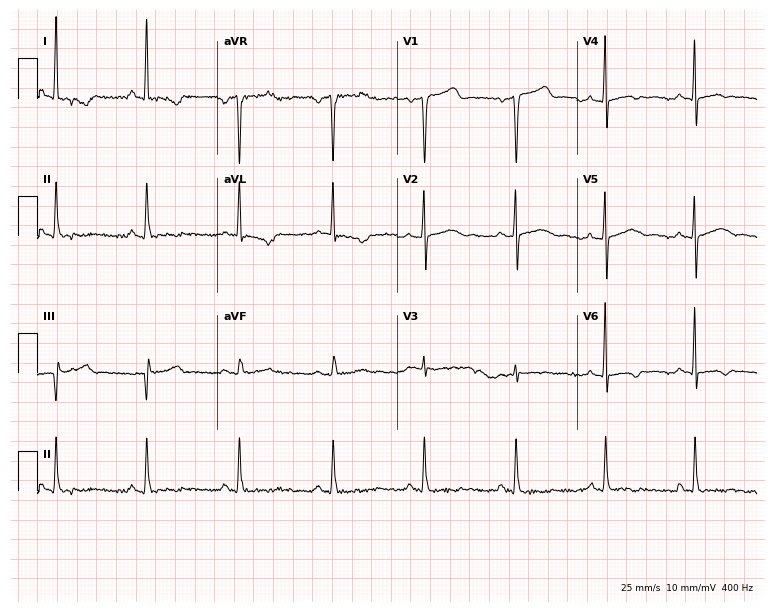
12-lead ECG from a female, 42 years old. No first-degree AV block, right bundle branch block, left bundle branch block, sinus bradycardia, atrial fibrillation or sinus tachycardia recorded for this tracing.